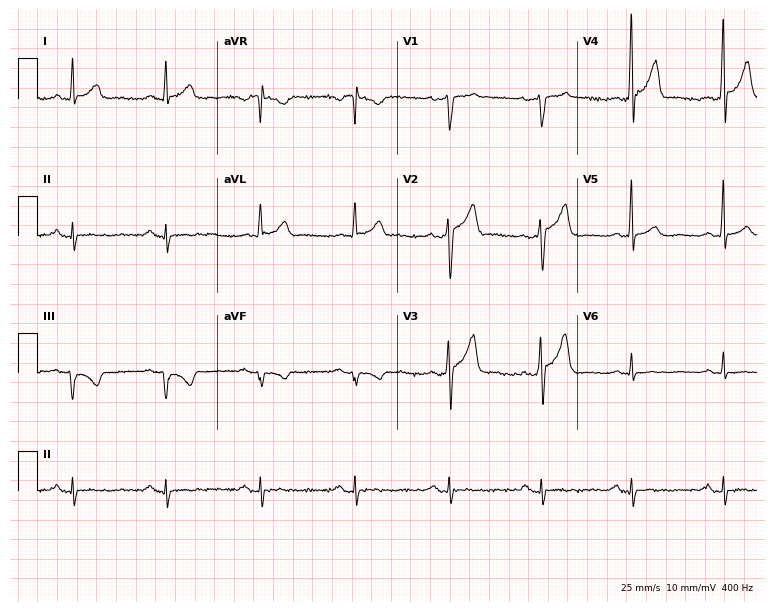
12-lead ECG (7.3-second recording at 400 Hz) from a man, 48 years old. Screened for six findings — first-degree AV block, right bundle branch block (RBBB), left bundle branch block (LBBB), sinus bradycardia, atrial fibrillation (AF), sinus tachycardia — none is recorded. Only these six findings were labelled.